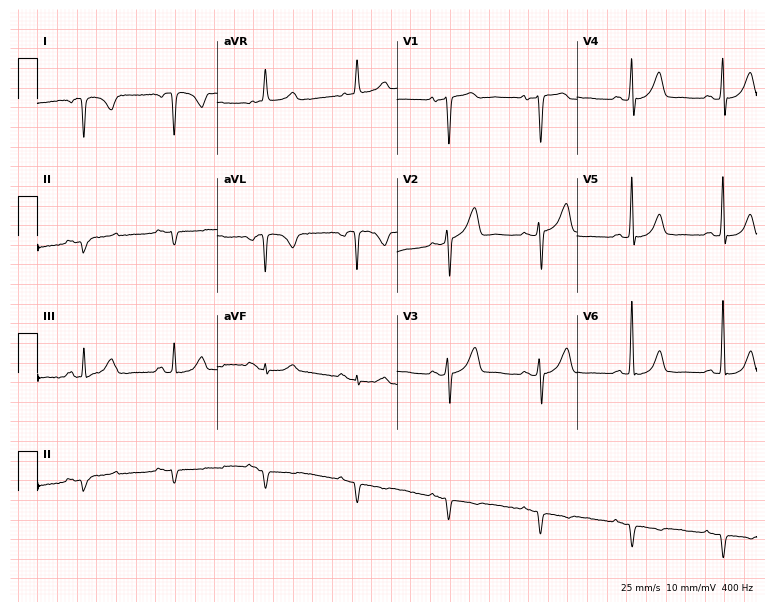
12-lead ECG from a female, 74 years old. No first-degree AV block, right bundle branch block, left bundle branch block, sinus bradycardia, atrial fibrillation or sinus tachycardia recorded for this tracing. Other findings, if any, are not listed.